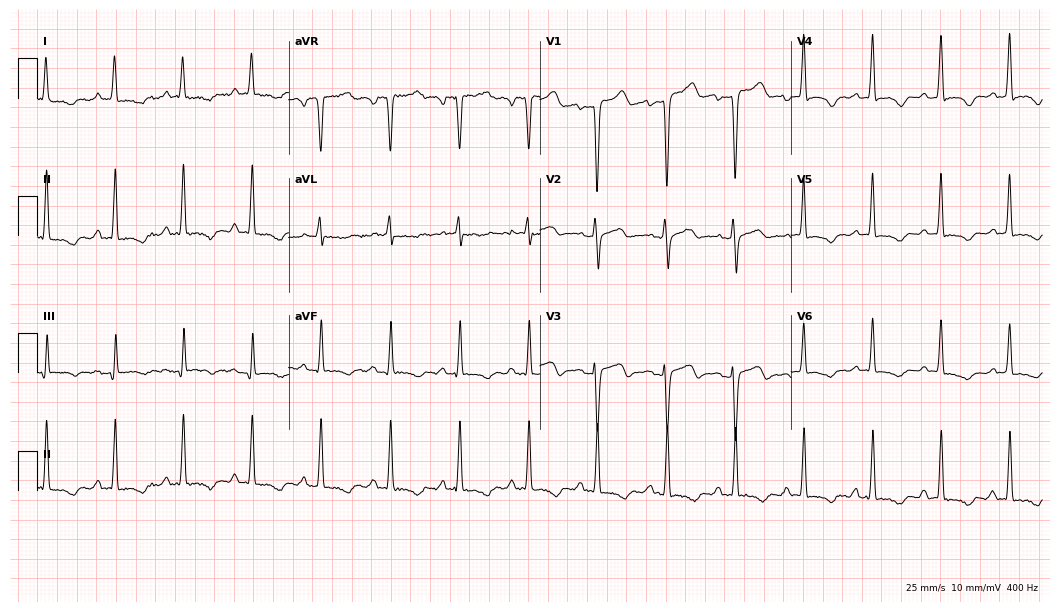
Standard 12-lead ECG recorded from a female, 82 years old. None of these six findings is recorded: first-degree AV block, right bundle branch block (RBBB), left bundle branch block (LBBB), sinus bradycardia, atrial fibrillation (AF), sinus tachycardia. Findings outside these six are not listed.